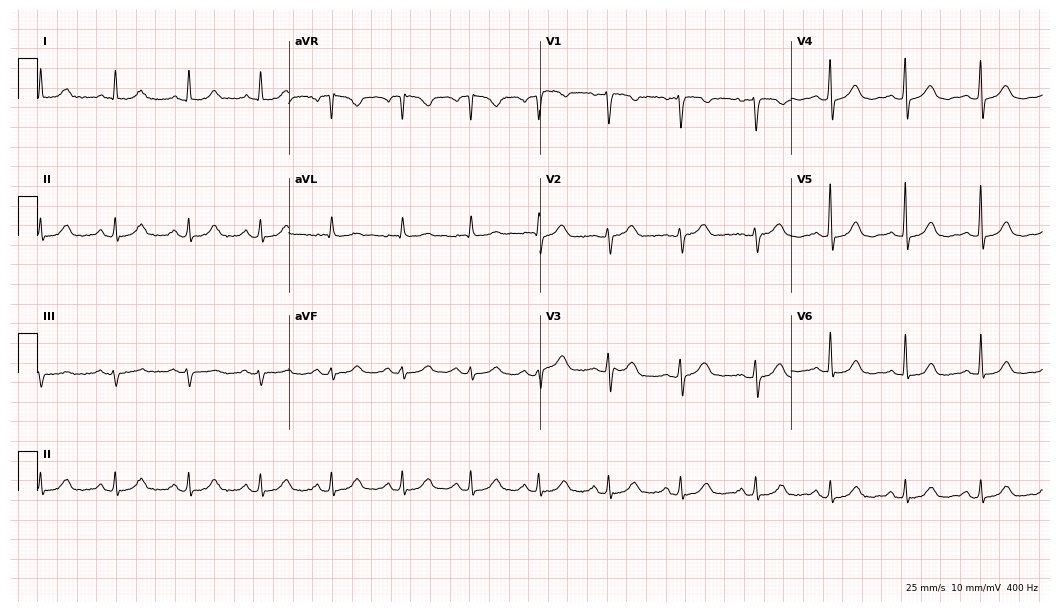
Resting 12-lead electrocardiogram. Patient: a 66-year-old woman. Read as a normal ECG.